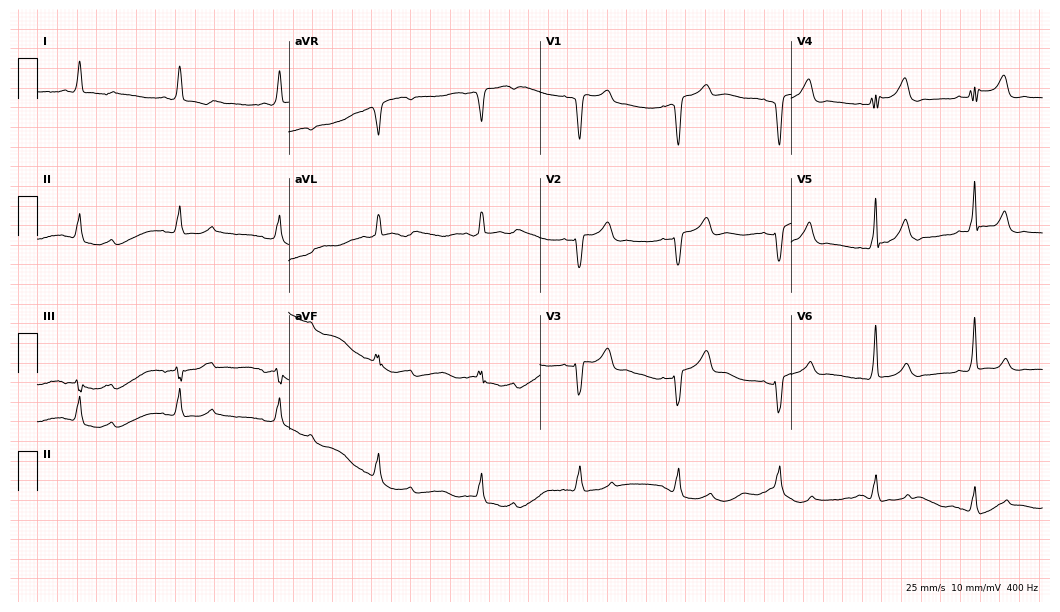
Electrocardiogram (10.2-second recording at 400 Hz), a 69-year-old female. Of the six screened findings (first-degree AV block, right bundle branch block, left bundle branch block, sinus bradycardia, atrial fibrillation, sinus tachycardia), none is recorded.